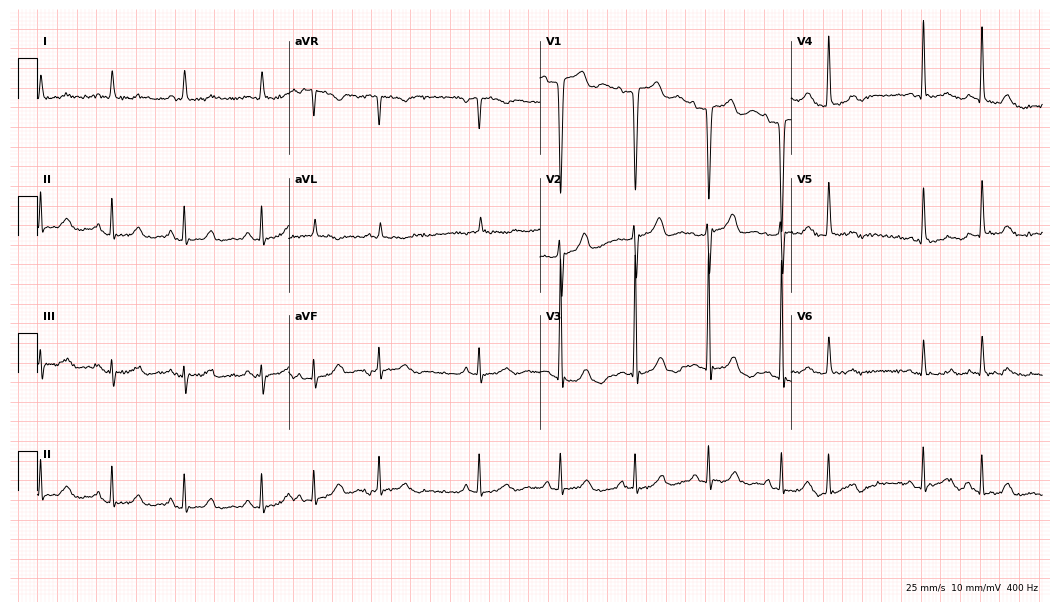
12-lead ECG from a female, 83 years old. Screened for six findings — first-degree AV block, right bundle branch block, left bundle branch block, sinus bradycardia, atrial fibrillation, sinus tachycardia — none is recorded.